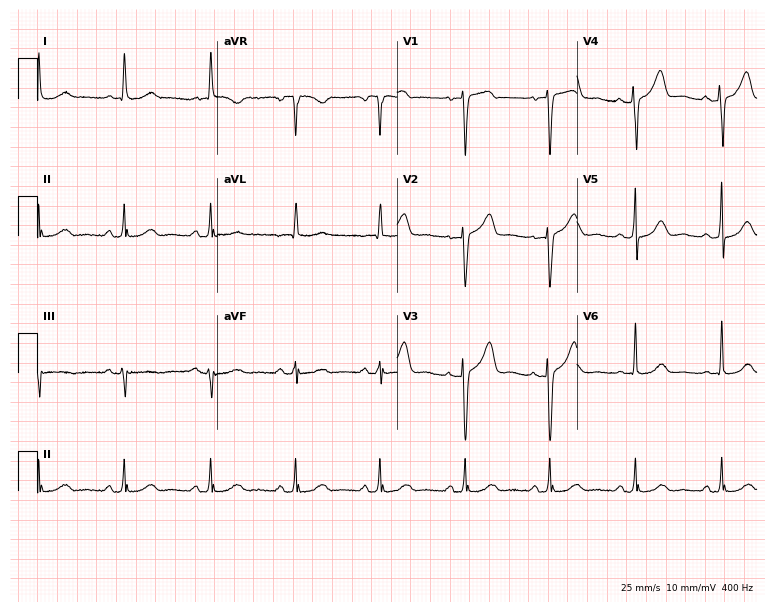
ECG (7.3-second recording at 400 Hz) — a 66-year-old woman. Labelled as a normal ECG.